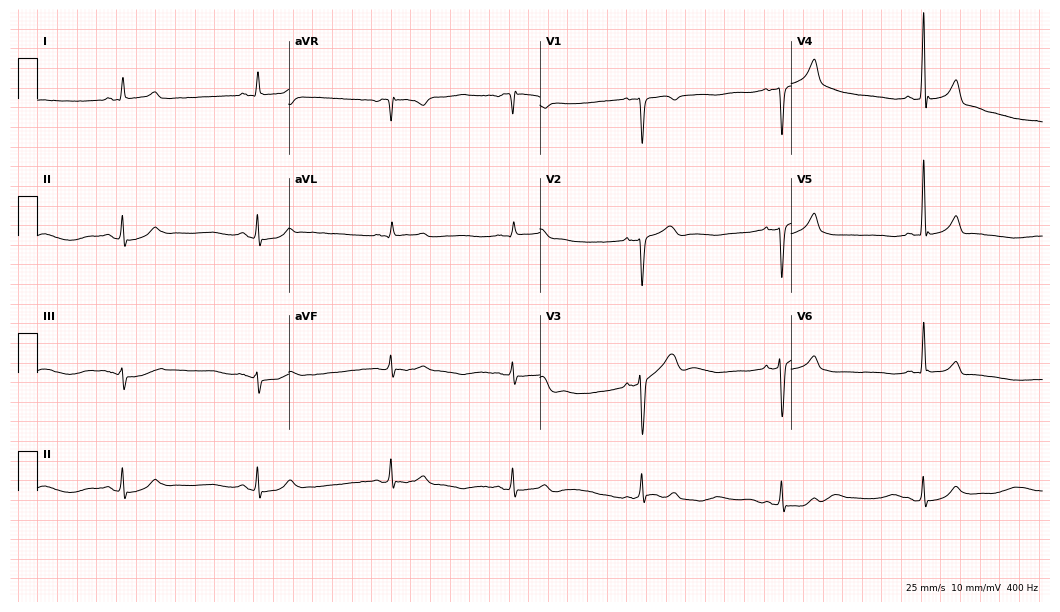
Standard 12-lead ECG recorded from a man, 28 years old. The tracing shows sinus bradycardia (a sinus rate of 50 beats per minute or less).